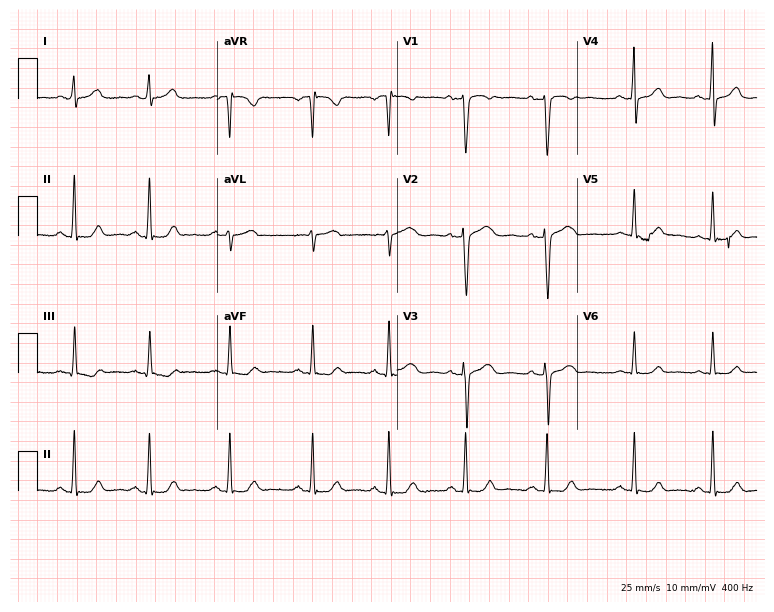
12-lead ECG from a woman, 41 years old. No first-degree AV block, right bundle branch block (RBBB), left bundle branch block (LBBB), sinus bradycardia, atrial fibrillation (AF) or sinus tachycardia recorded for this tracing.